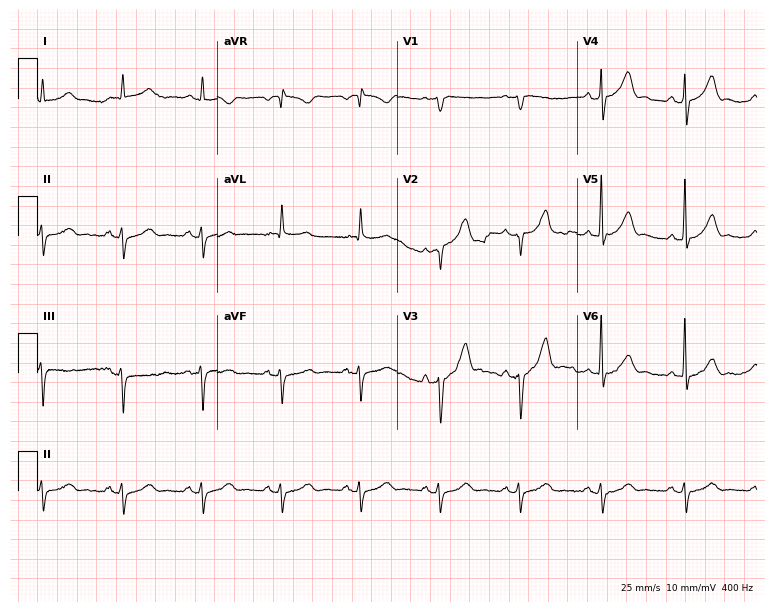
Electrocardiogram (7.3-second recording at 400 Hz), a 64-year-old male patient. Of the six screened findings (first-degree AV block, right bundle branch block (RBBB), left bundle branch block (LBBB), sinus bradycardia, atrial fibrillation (AF), sinus tachycardia), none is recorded. Findings outside these six are not listed.